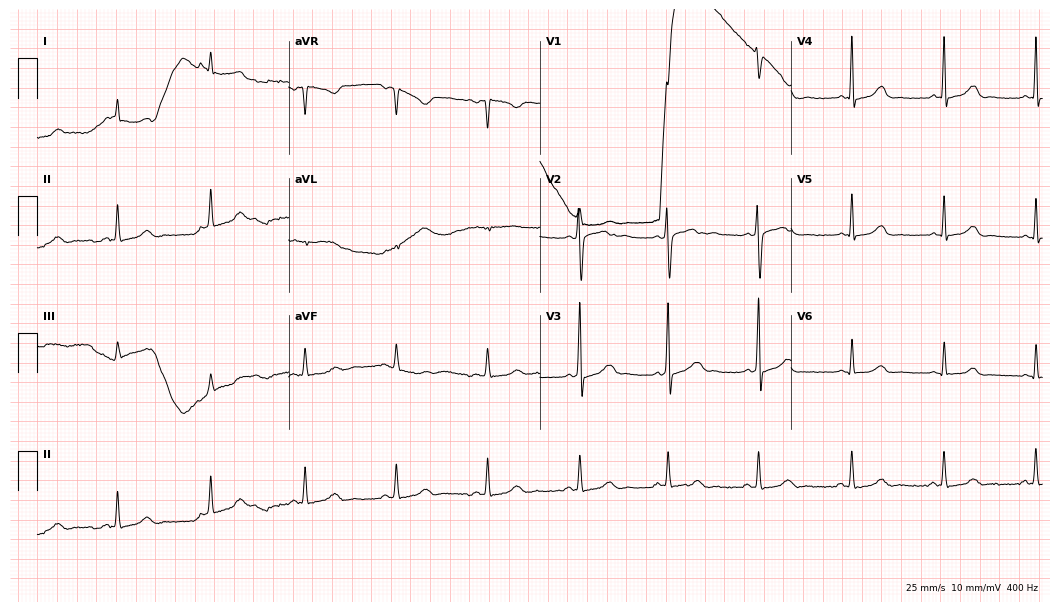
Resting 12-lead electrocardiogram (10.2-second recording at 400 Hz). Patient: a 24-year-old female. Read as a normal ECG.